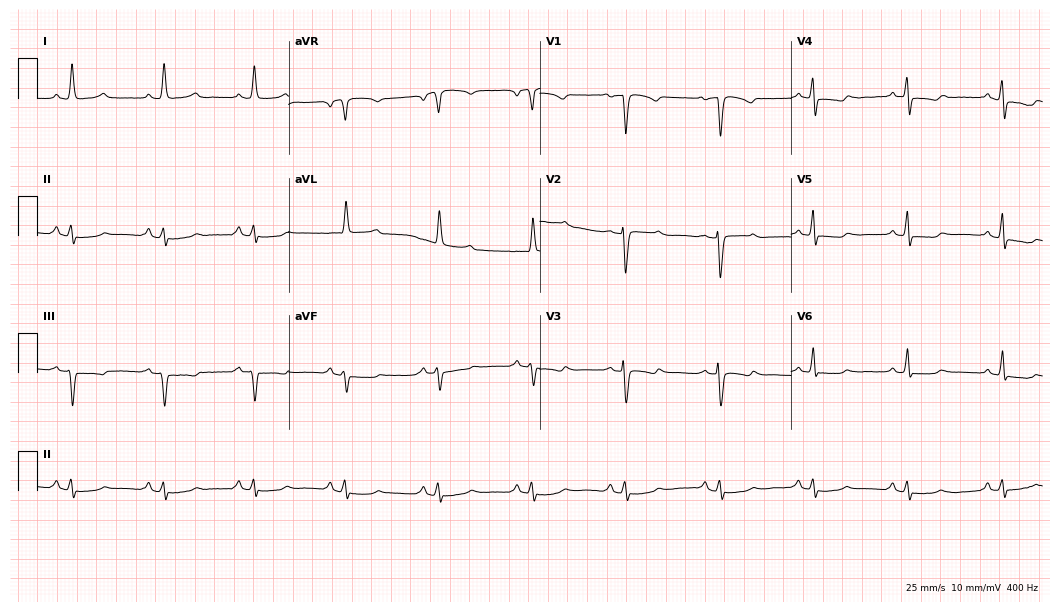
Electrocardiogram (10.2-second recording at 400 Hz), a woman, 71 years old. Overall reading on record: normal ECG.